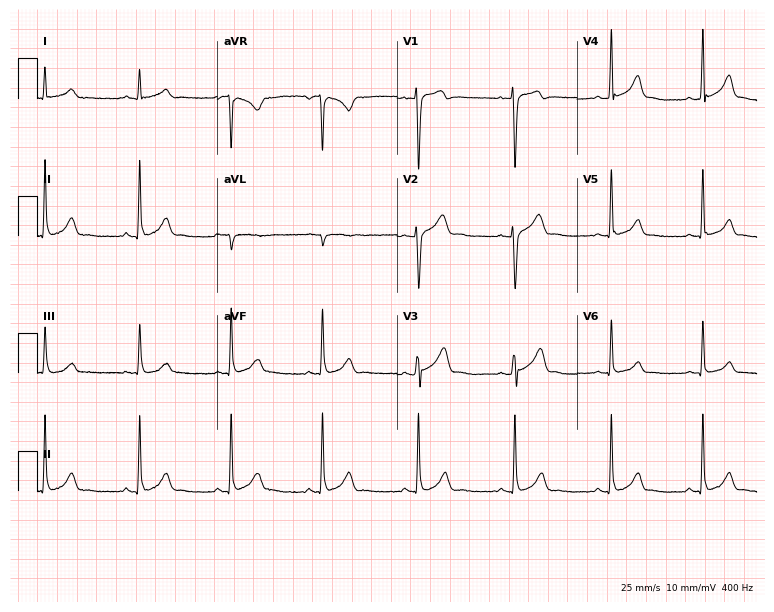
12-lead ECG from a 29-year-old male. Labelled as a normal ECG.